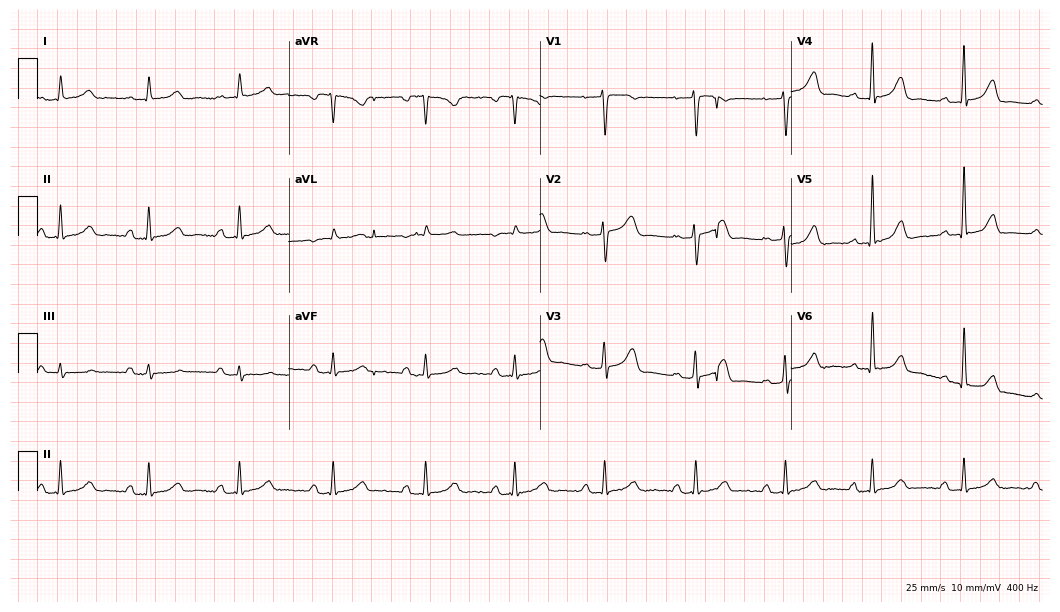
Electrocardiogram (10.2-second recording at 400 Hz), a 57-year-old female. Interpretation includes first-degree AV block.